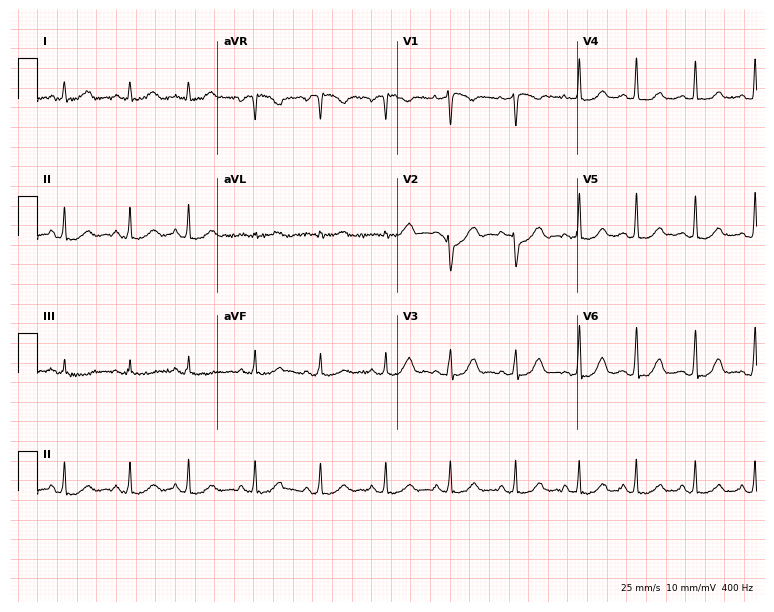
Resting 12-lead electrocardiogram. Patient: a female, 45 years old. Read as a normal ECG.